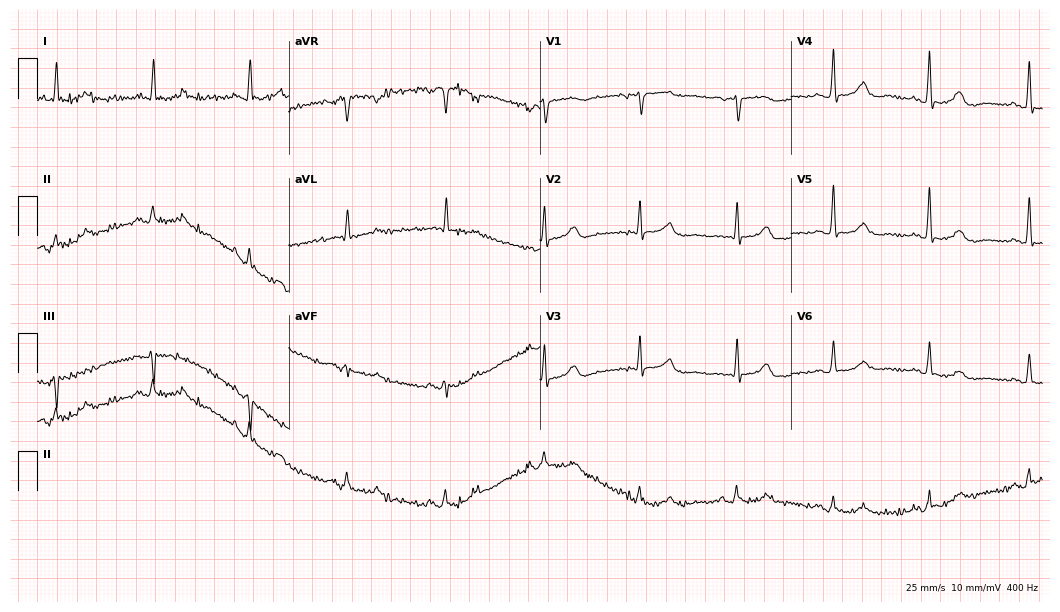
ECG — a 73-year-old female. Screened for six findings — first-degree AV block, right bundle branch block, left bundle branch block, sinus bradycardia, atrial fibrillation, sinus tachycardia — none is recorded. Other findings, if any, are not listed.